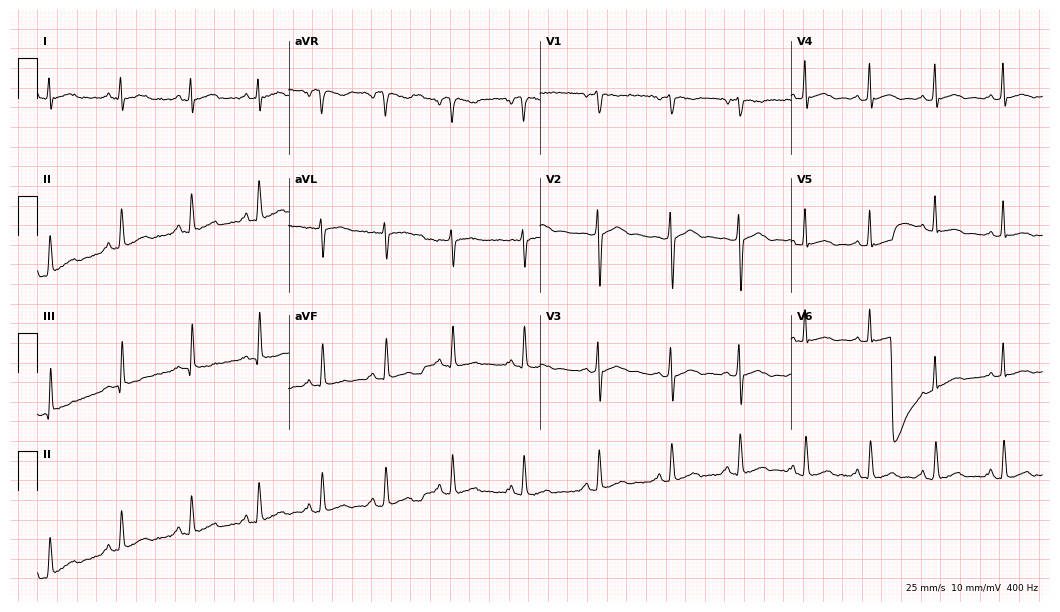
Electrocardiogram, a woman, 38 years old. Overall reading on record: normal ECG.